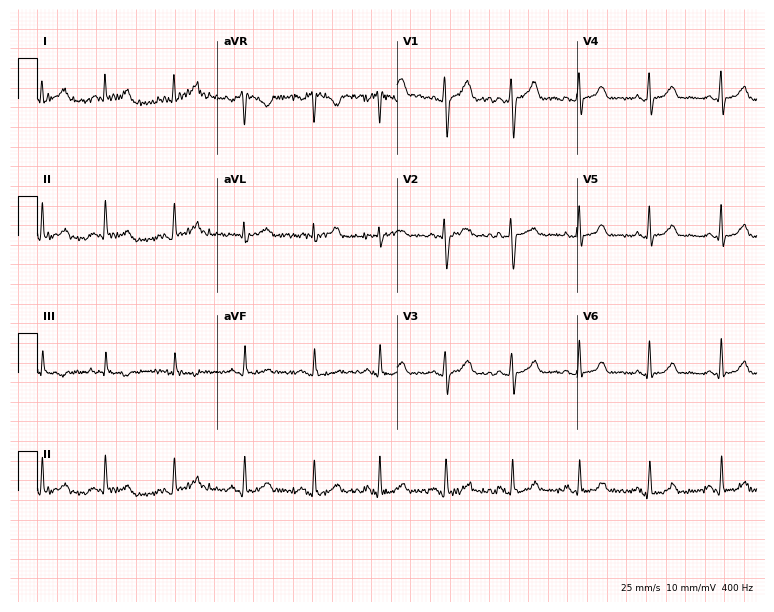
Standard 12-lead ECG recorded from a 29-year-old female patient (7.3-second recording at 400 Hz). None of these six findings is recorded: first-degree AV block, right bundle branch block (RBBB), left bundle branch block (LBBB), sinus bradycardia, atrial fibrillation (AF), sinus tachycardia.